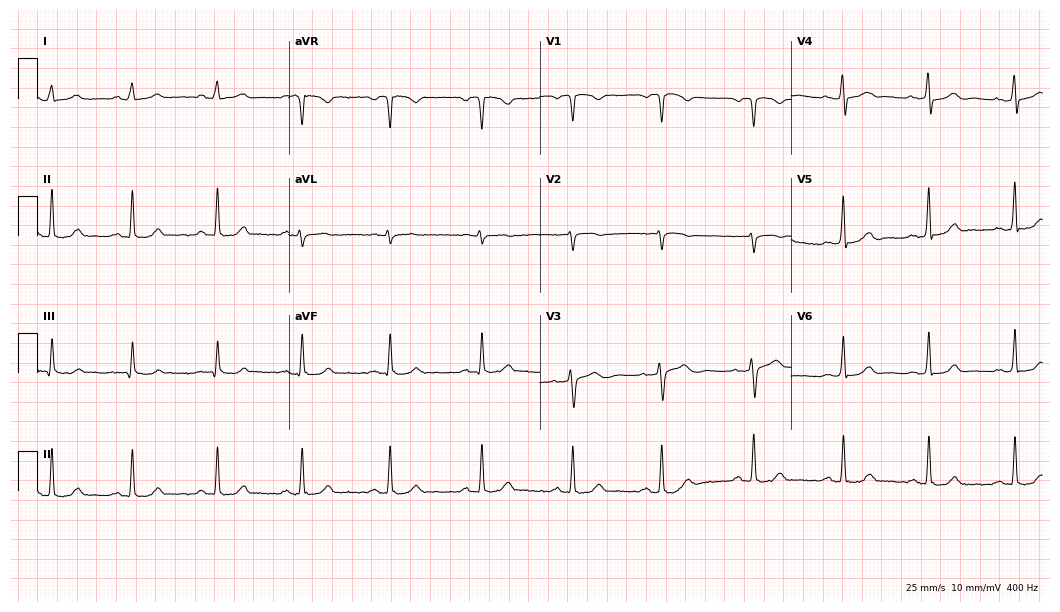
Resting 12-lead electrocardiogram (10.2-second recording at 400 Hz). Patient: a 37-year-old female. Read as a normal ECG.